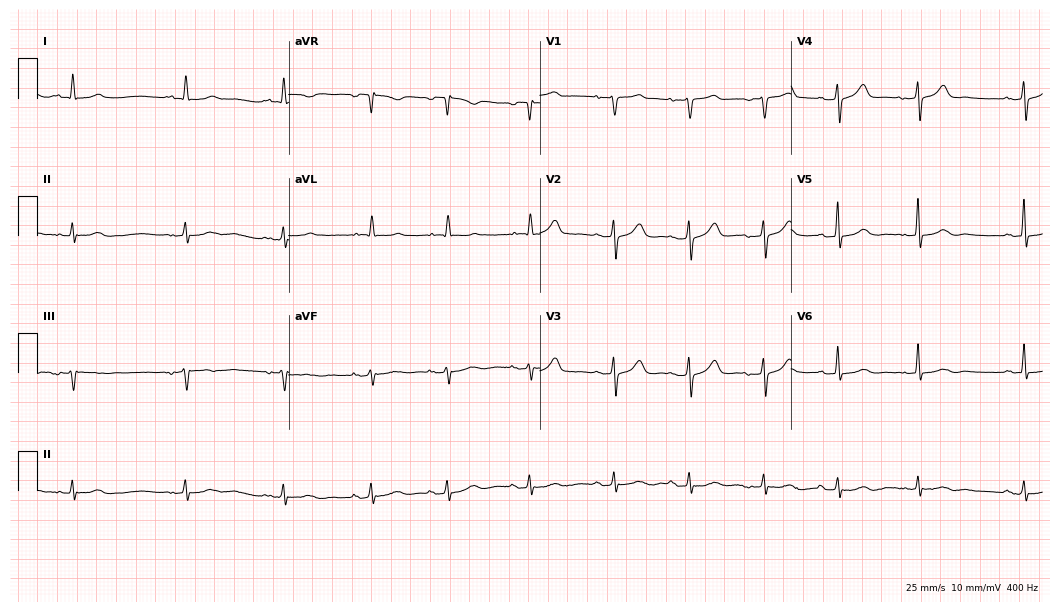
ECG (10.2-second recording at 400 Hz) — an 81-year-old female. Screened for six findings — first-degree AV block, right bundle branch block, left bundle branch block, sinus bradycardia, atrial fibrillation, sinus tachycardia — none is recorded.